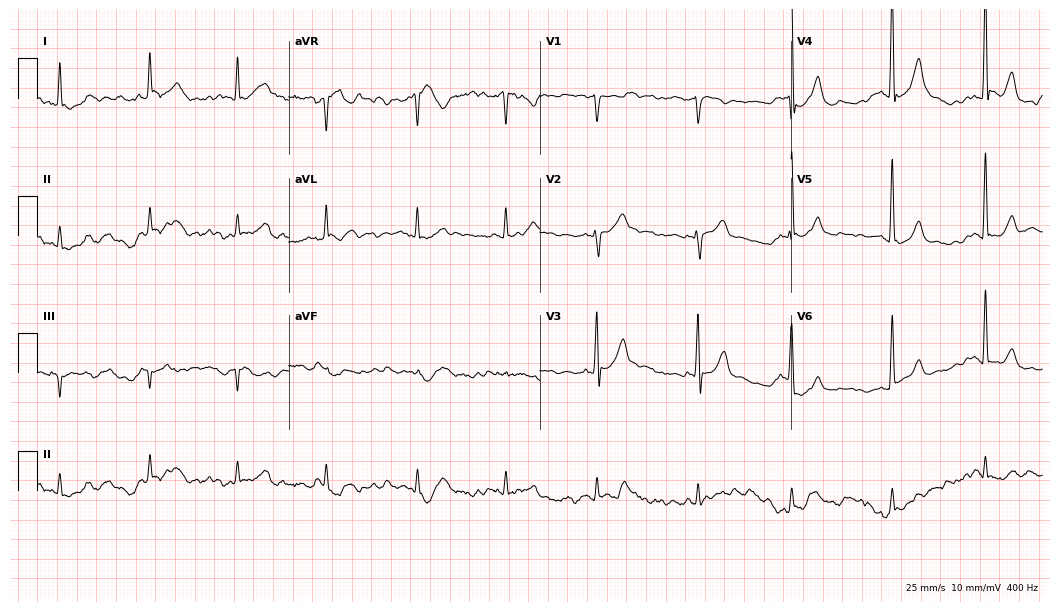
12-lead ECG from a 69-year-old man. No first-degree AV block, right bundle branch block (RBBB), left bundle branch block (LBBB), sinus bradycardia, atrial fibrillation (AF) or sinus tachycardia recorded for this tracing.